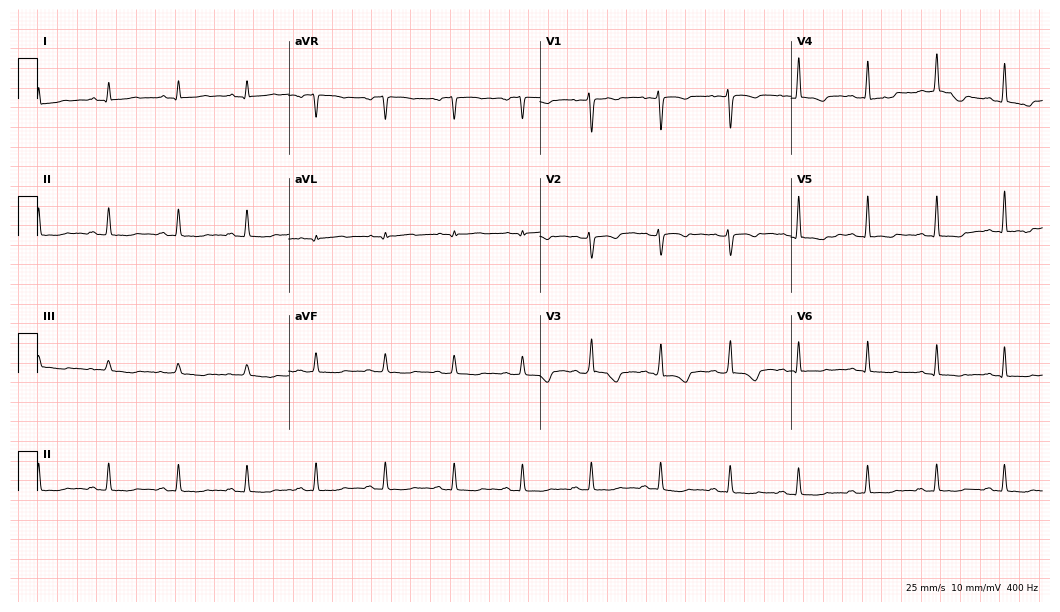
12-lead ECG (10.2-second recording at 400 Hz) from a female patient, 25 years old. Screened for six findings — first-degree AV block, right bundle branch block, left bundle branch block, sinus bradycardia, atrial fibrillation, sinus tachycardia — none is recorded.